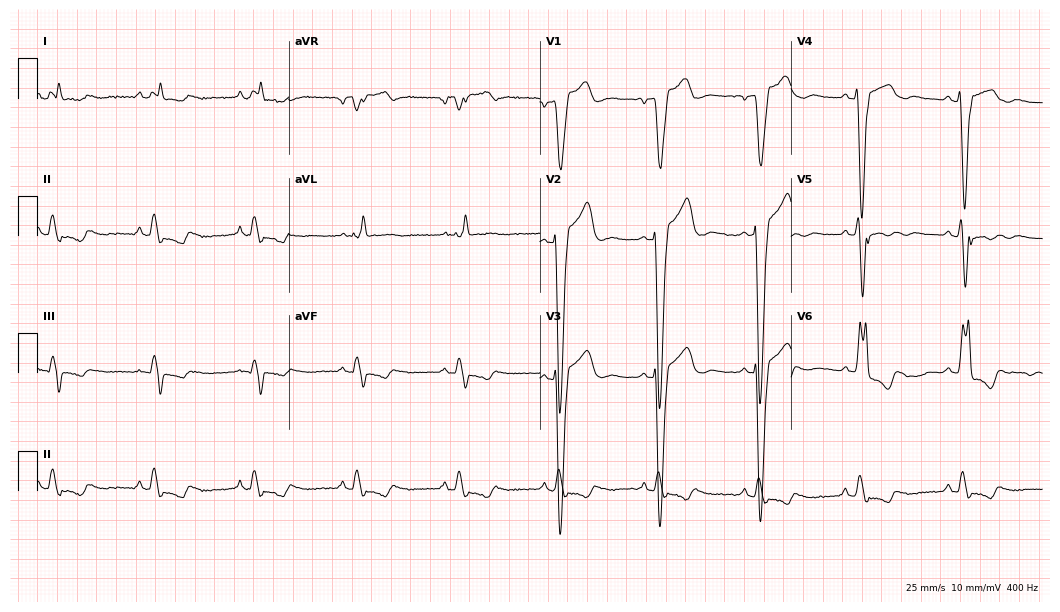
12-lead ECG from a male patient, 56 years old. Shows left bundle branch block (LBBB).